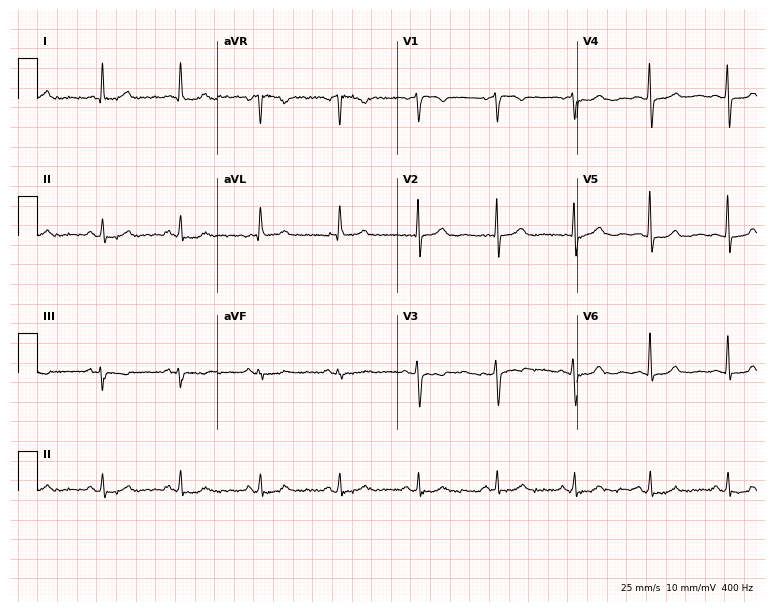
Electrocardiogram (7.3-second recording at 400 Hz), a 54-year-old female. Overall reading on record: normal ECG.